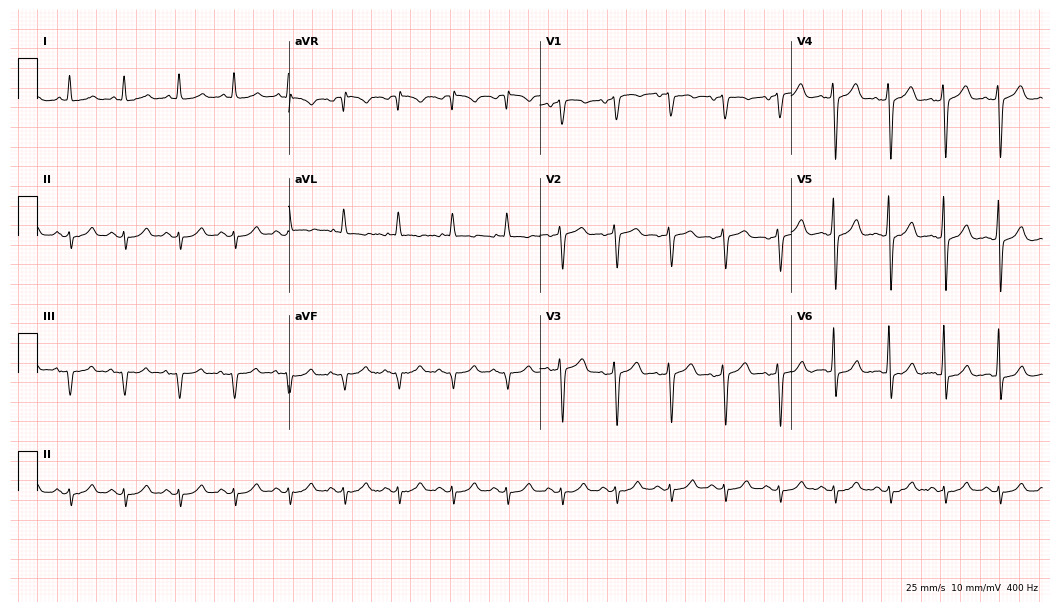
12-lead ECG (10.2-second recording at 400 Hz) from an 86-year-old male patient. Findings include sinus tachycardia (a sinus rate of 100 beats per minute or more).